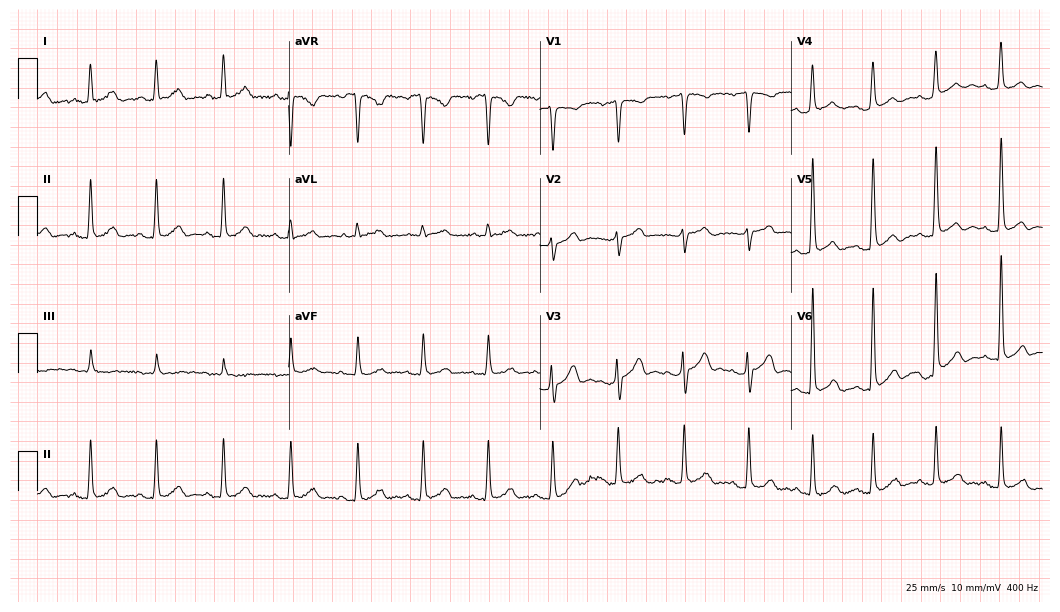
Standard 12-lead ECG recorded from a man, 32 years old (10.2-second recording at 400 Hz). Read as a normal ECG.